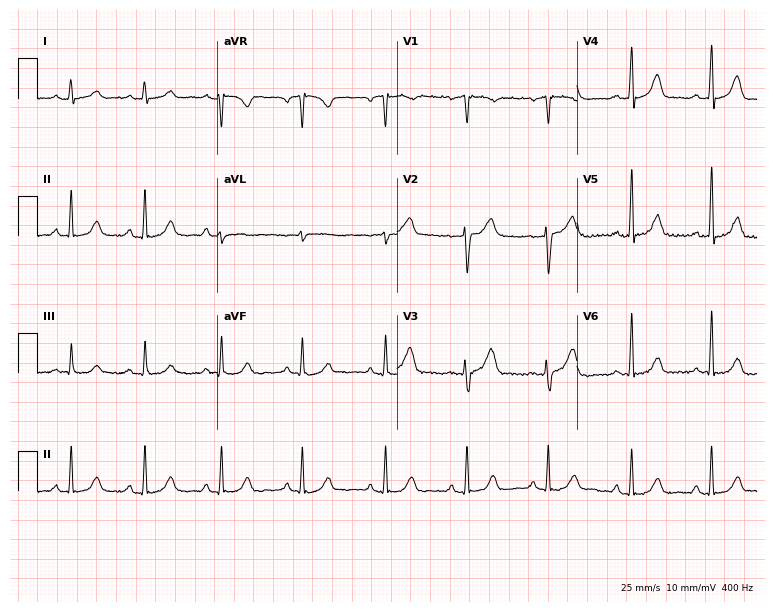
12-lead ECG (7.3-second recording at 400 Hz) from a woman, 53 years old. Labelled as a normal ECG.